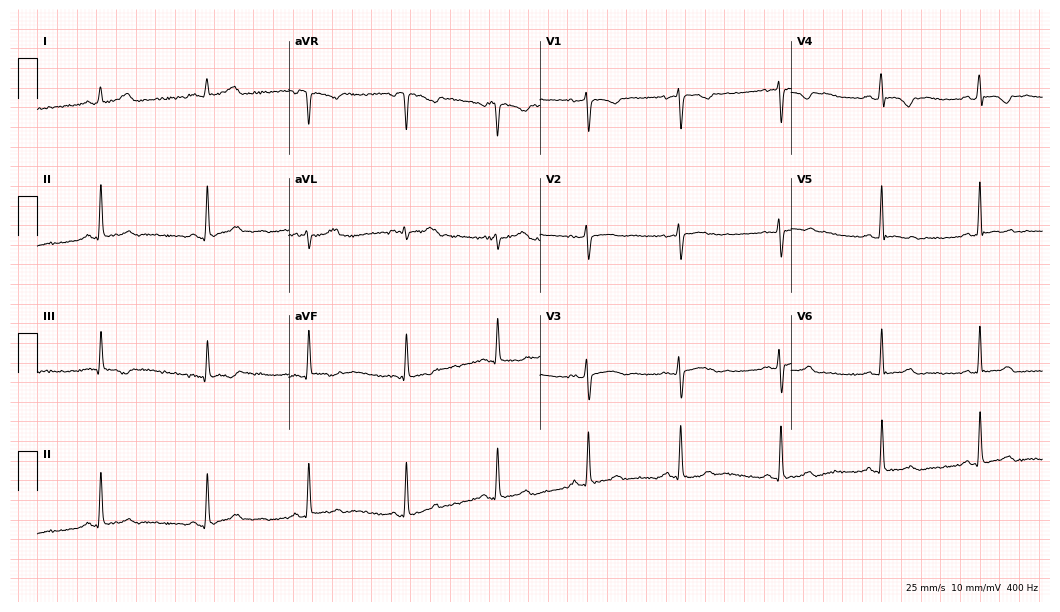
ECG — a female patient, 30 years old. Screened for six findings — first-degree AV block, right bundle branch block, left bundle branch block, sinus bradycardia, atrial fibrillation, sinus tachycardia — none is recorded. Other findings, if any, are not listed.